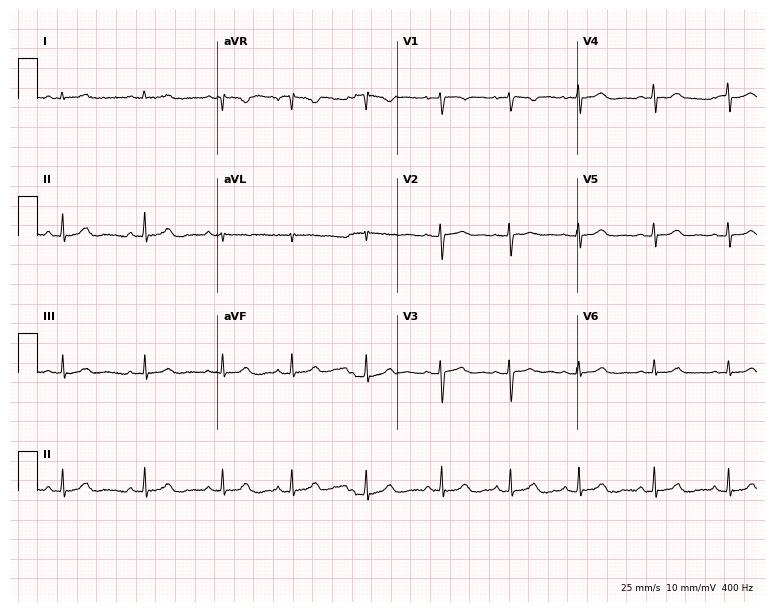
Electrocardiogram, a 19-year-old female. Overall reading on record: normal ECG.